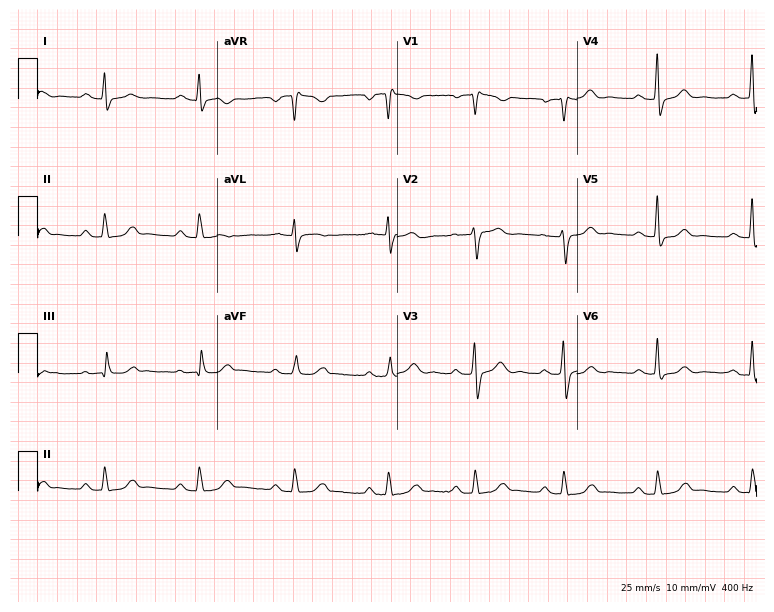
ECG — a female, 56 years old. Findings include first-degree AV block.